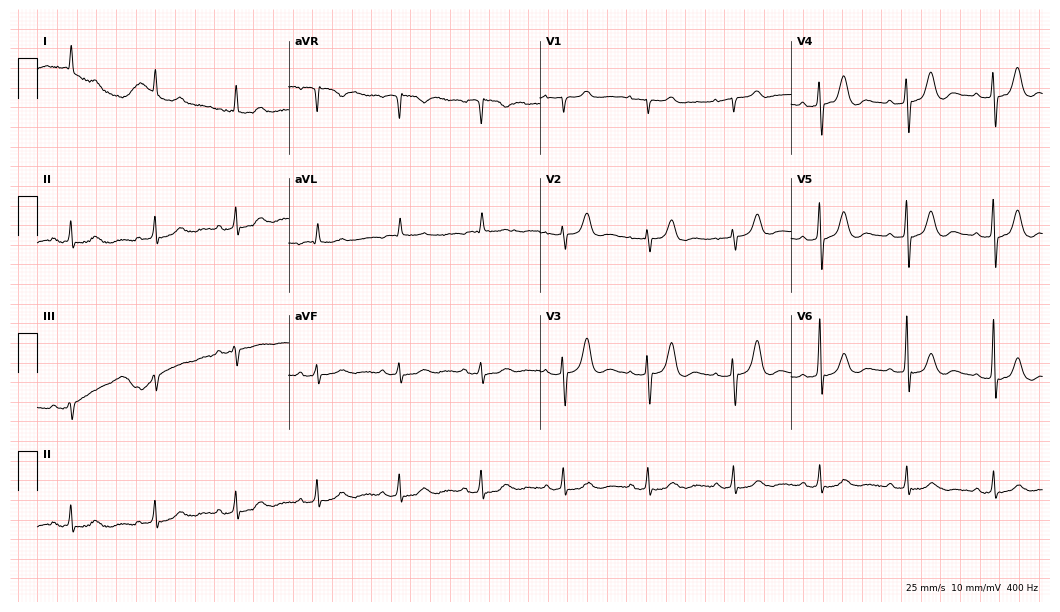
12-lead ECG (10.2-second recording at 400 Hz) from a female patient, 74 years old. Labelled as a normal ECG.